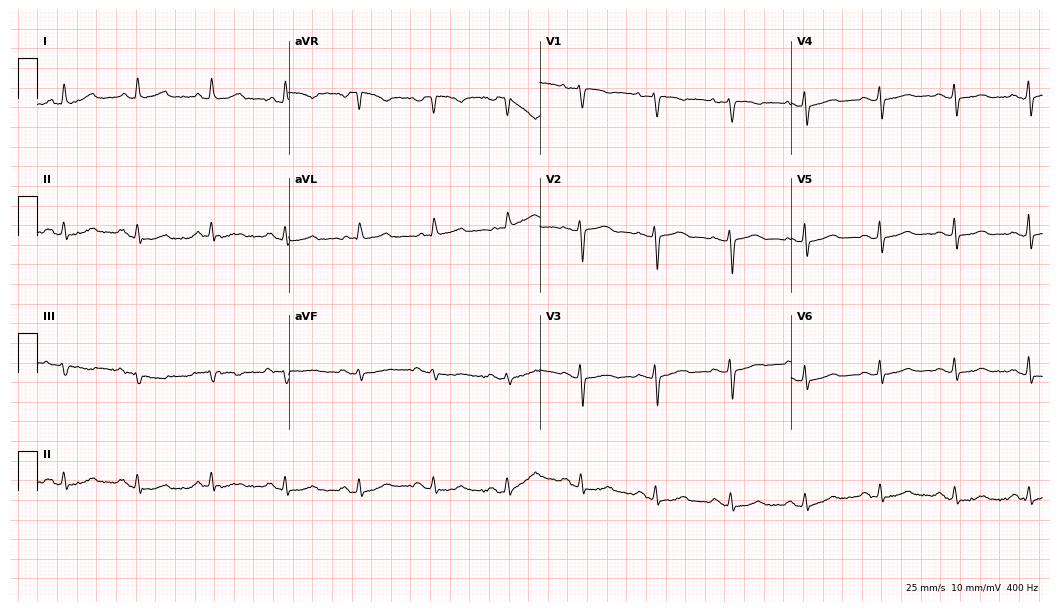
12-lead ECG from a 71-year-old female. Labelled as a normal ECG.